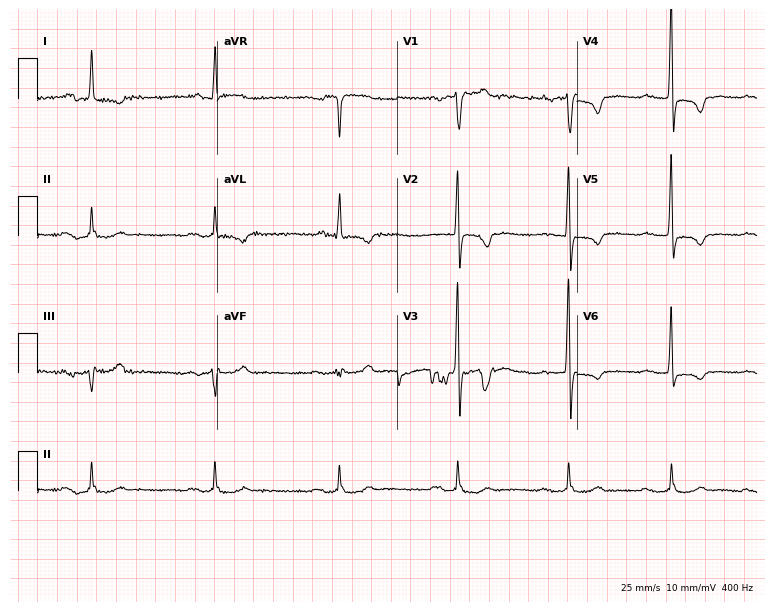
Standard 12-lead ECG recorded from a male patient, 83 years old (7.3-second recording at 400 Hz). The tracing shows first-degree AV block.